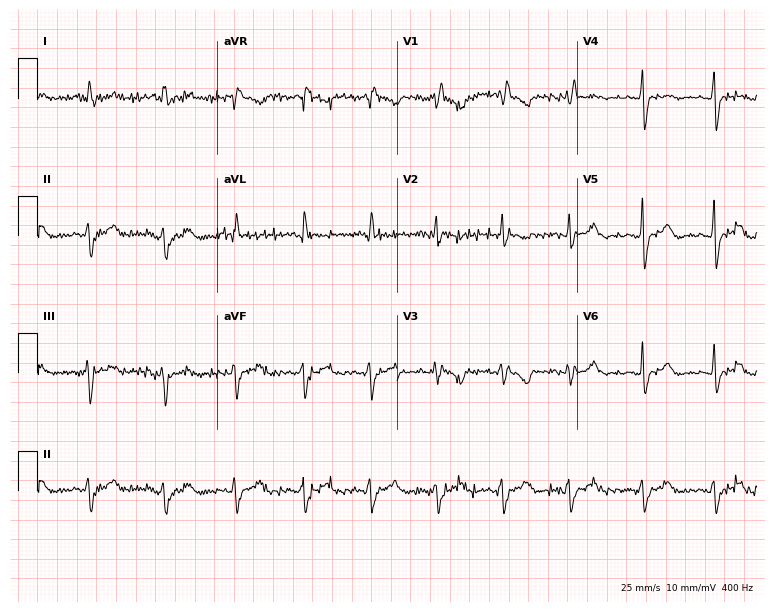
12-lead ECG from a 49-year-old female. Screened for six findings — first-degree AV block, right bundle branch block, left bundle branch block, sinus bradycardia, atrial fibrillation, sinus tachycardia — none is recorded. Other findings, if any, are not listed.